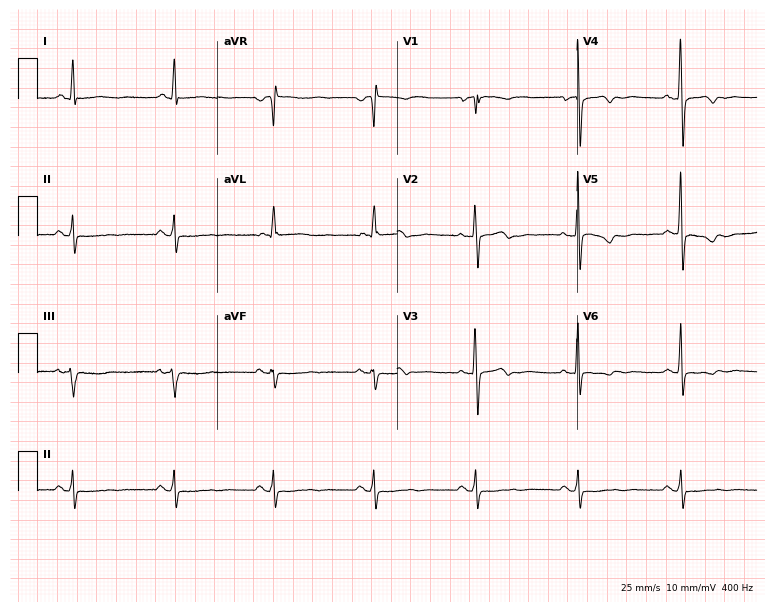
Resting 12-lead electrocardiogram. Patient: a female, 65 years old. None of these six findings is recorded: first-degree AV block, right bundle branch block, left bundle branch block, sinus bradycardia, atrial fibrillation, sinus tachycardia. Only these six findings were labelled.